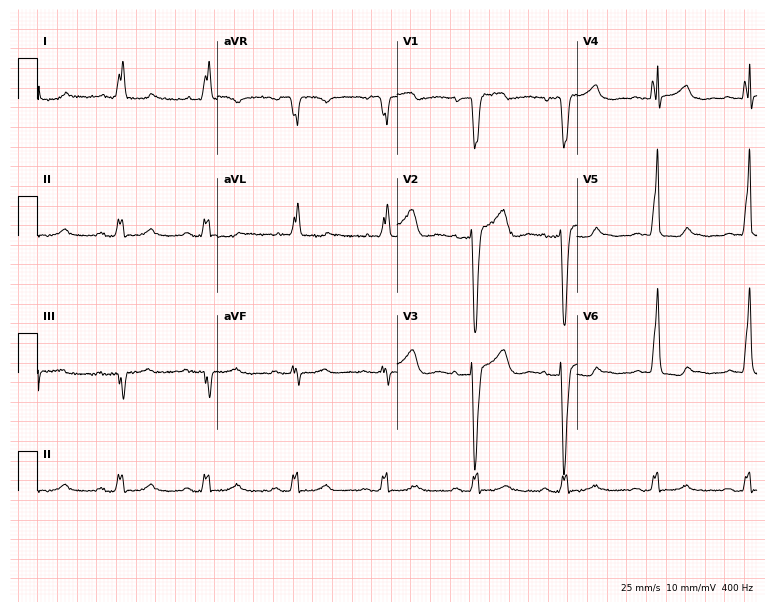
12-lead ECG from a female, 66 years old. Screened for six findings — first-degree AV block, right bundle branch block, left bundle branch block, sinus bradycardia, atrial fibrillation, sinus tachycardia — none is recorded. Findings outside these six are not listed.